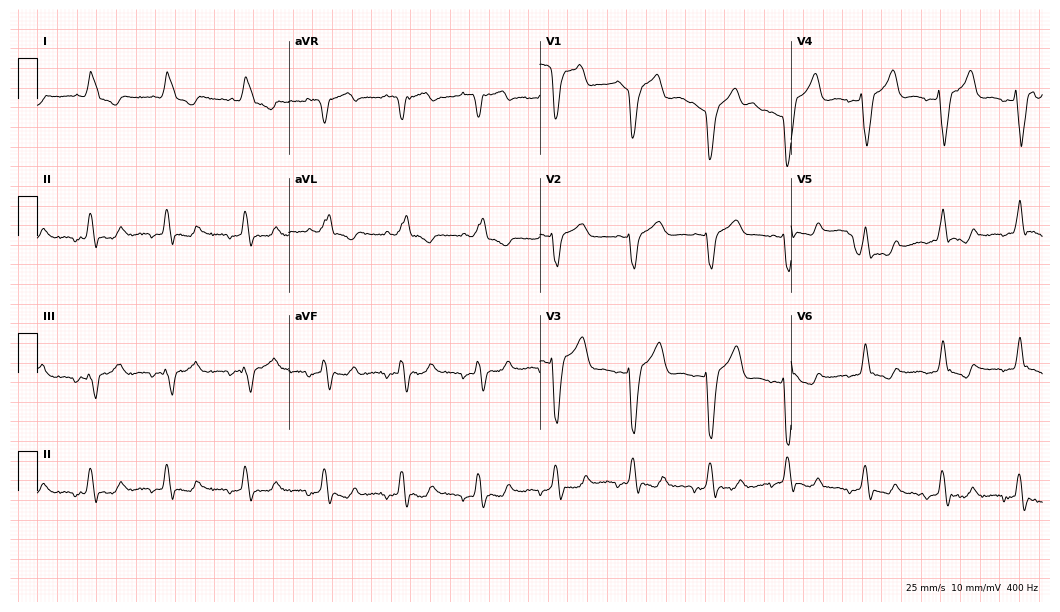
12-lead ECG from a man, 69 years old. Findings include left bundle branch block.